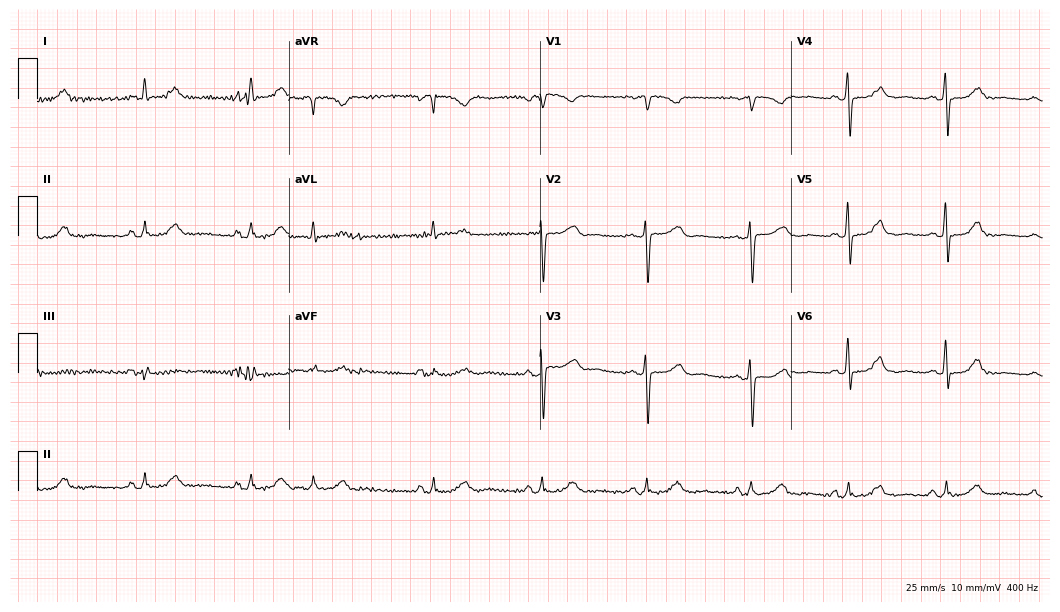
ECG (10.2-second recording at 400 Hz) — a female, 65 years old. Screened for six findings — first-degree AV block, right bundle branch block (RBBB), left bundle branch block (LBBB), sinus bradycardia, atrial fibrillation (AF), sinus tachycardia — none is recorded.